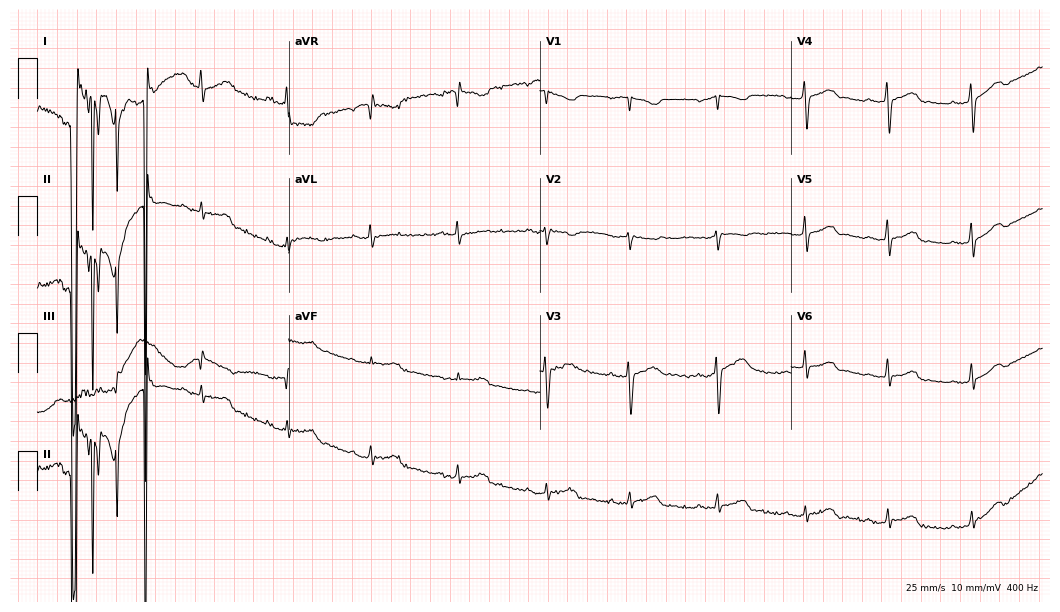
12-lead ECG (10.2-second recording at 400 Hz) from a 41-year-old male patient. Screened for six findings — first-degree AV block, right bundle branch block, left bundle branch block, sinus bradycardia, atrial fibrillation, sinus tachycardia — none is recorded. Only these six findings were labelled.